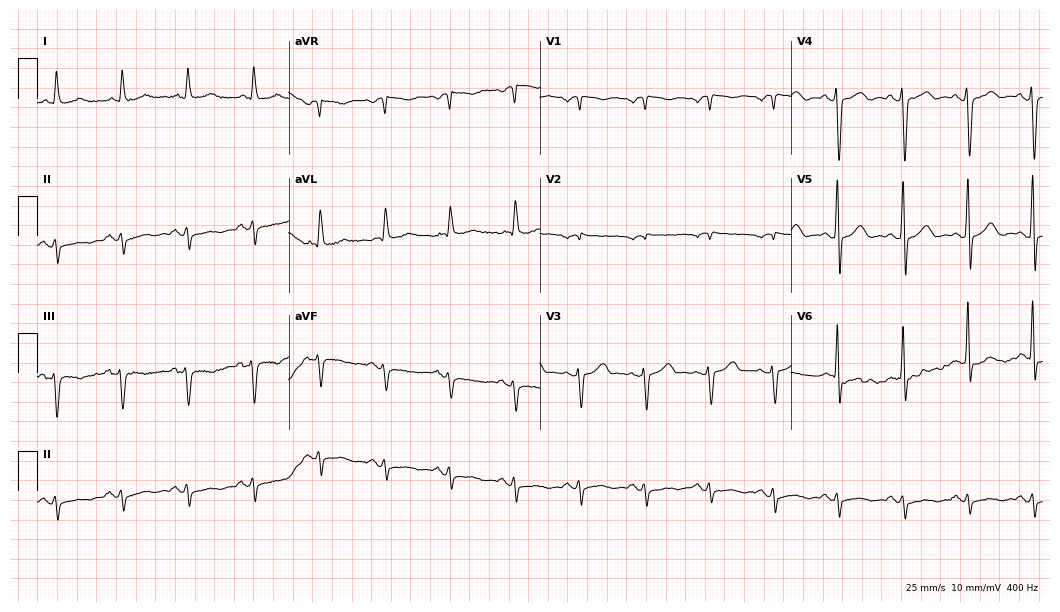
Standard 12-lead ECG recorded from an 81-year-old man. None of these six findings is recorded: first-degree AV block, right bundle branch block, left bundle branch block, sinus bradycardia, atrial fibrillation, sinus tachycardia. Other findings, if any, are not listed.